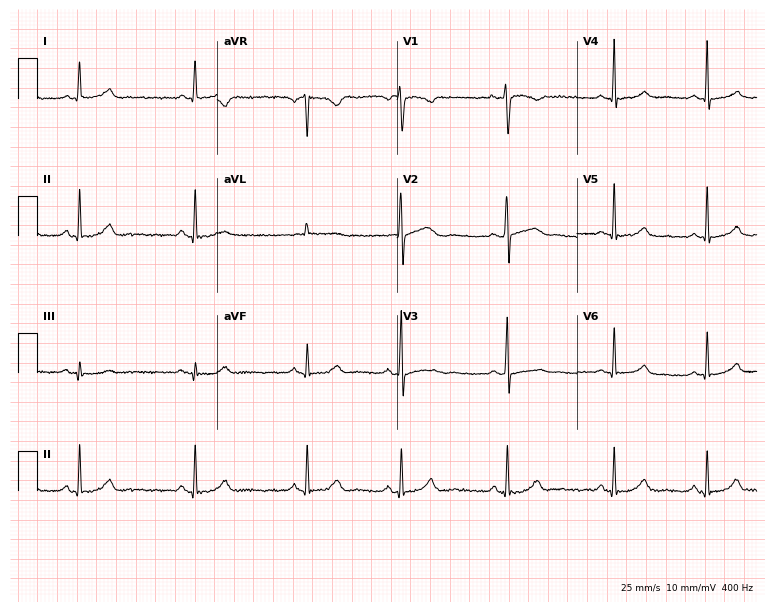
12-lead ECG from a 26-year-old female. Screened for six findings — first-degree AV block, right bundle branch block, left bundle branch block, sinus bradycardia, atrial fibrillation, sinus tachycardia — none is recorded.